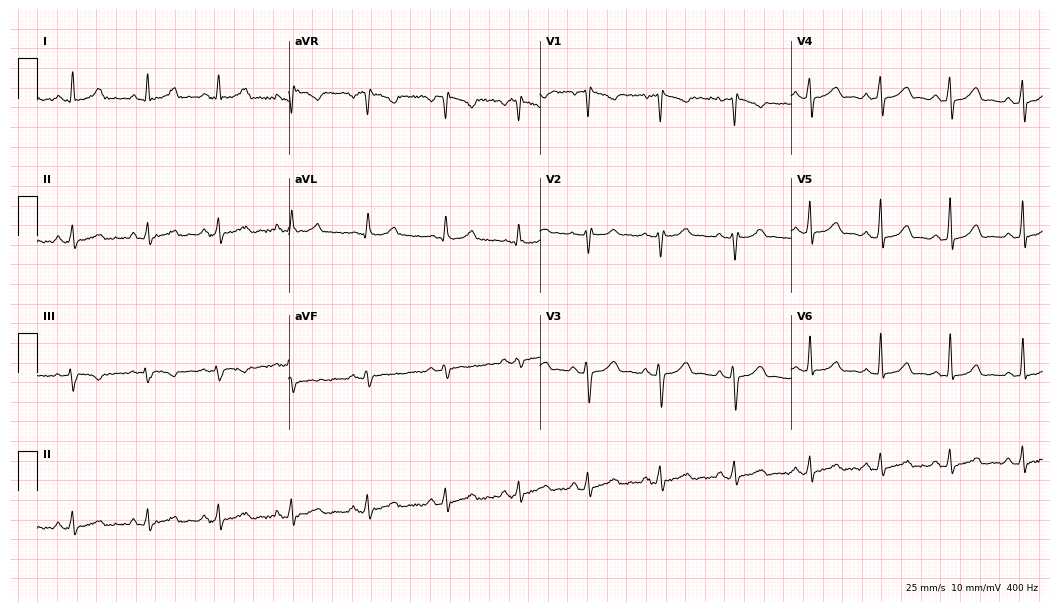
12-lead ECG from a 23-year-old female. Recorded interpretation: within normal limits.